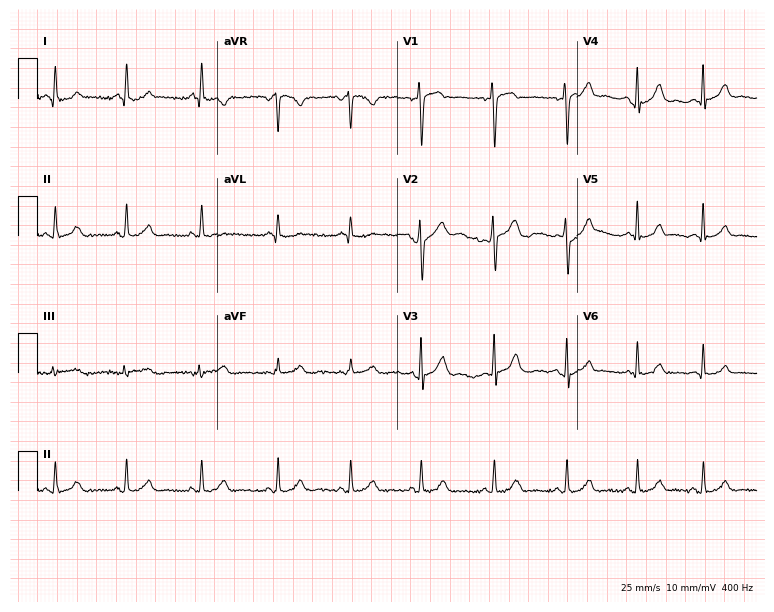
Standard 12-lead ECG recorded from a female, 22 years old (7.3-second recording at 400 Hz). Read as a normal ECG.